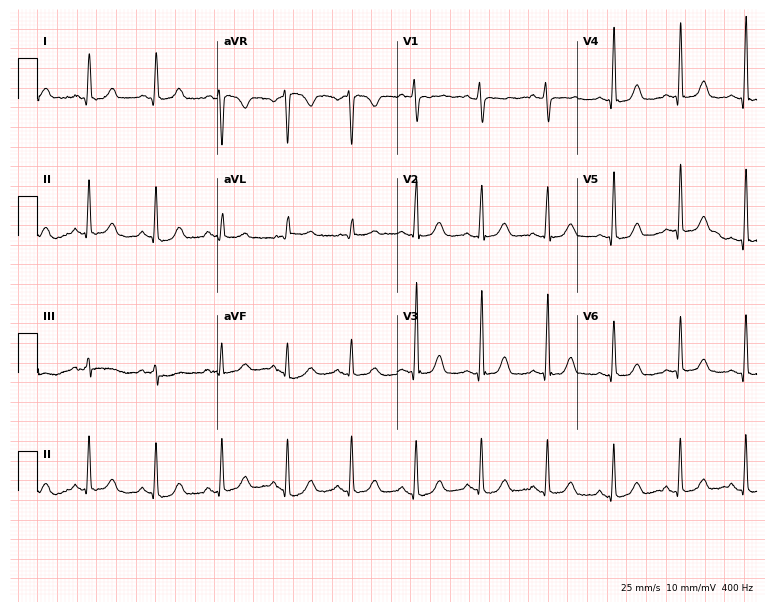
Resting 12-lead electrocardiogram. Patient: a woman, 55 years old. None of these six findings is recorded: first-degree AV block, right bundle branch block (RBBB), left bundle branch block (LBBB), sinus bradycardia, atrial fibrillation (AF), sinus tachycardia. Findings outside these six are not listed.